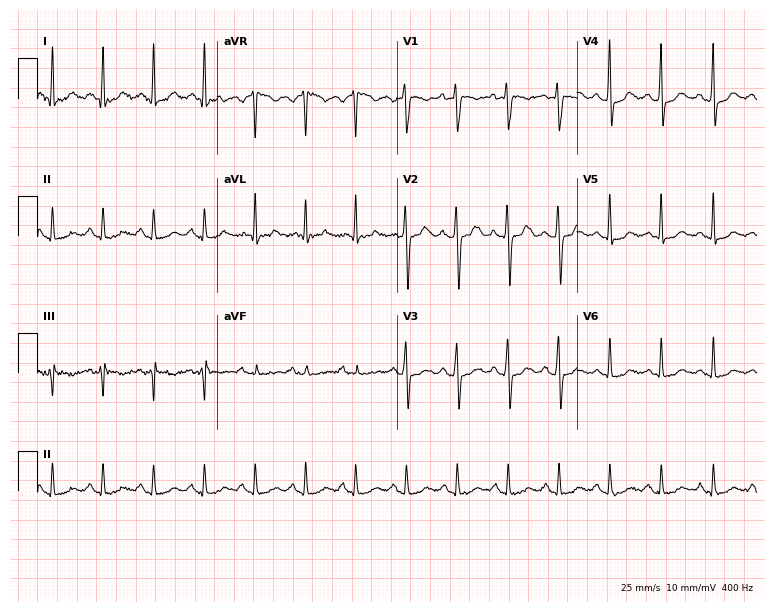
Electrocardiogram, a female patient, 24 years old. Interpretation includes sinus tachycardia (a sinus rate of 100 beats per minute or more).